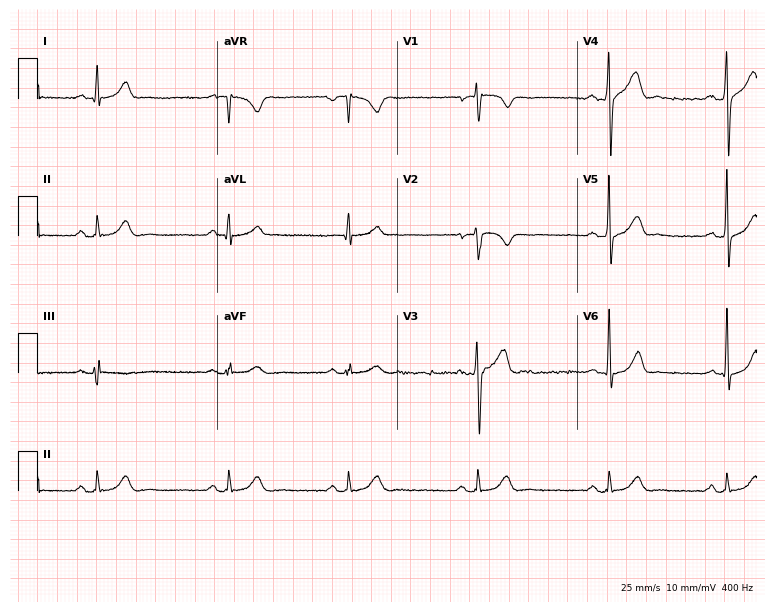
Resting 12-lead electrocardiogram. Patient: a 40-year-old male. The tracing shows sinus bradycardia (a sinus rate of 50 beats per minute or less).